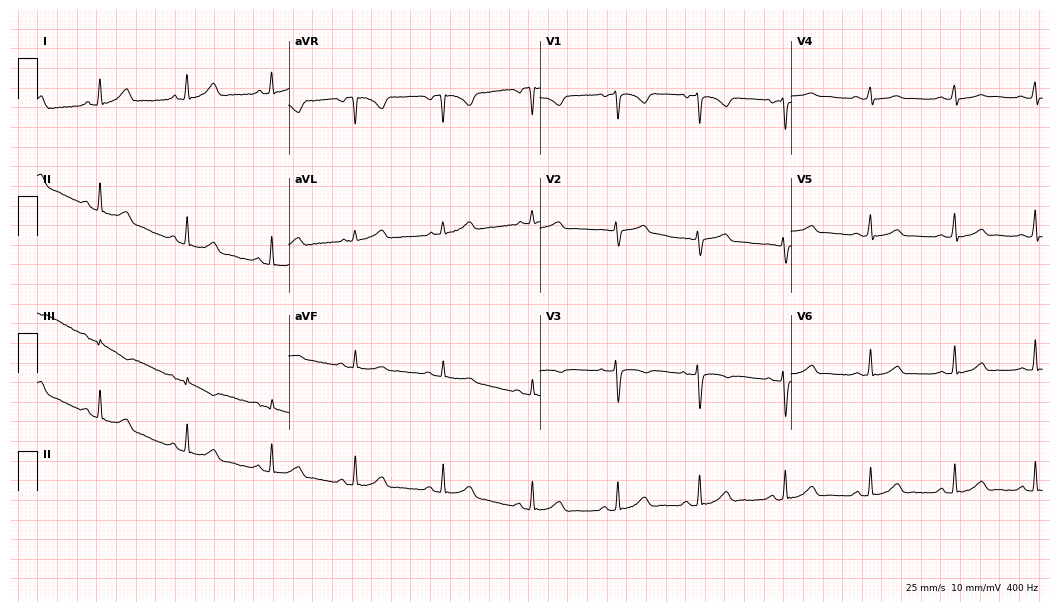
12-lead ECG (10.2-second recording at 400 Hz) from a 28-year-old female. Labelled as a normal ECG.